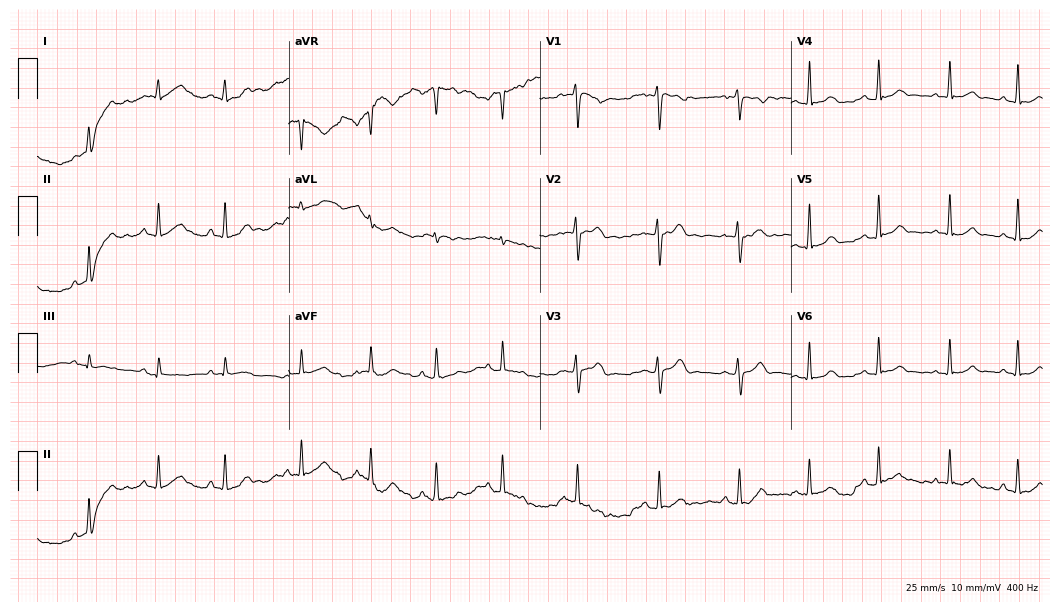
Electrocardiogram, a 23-year-old female. Overall reading on record: normal ECG.